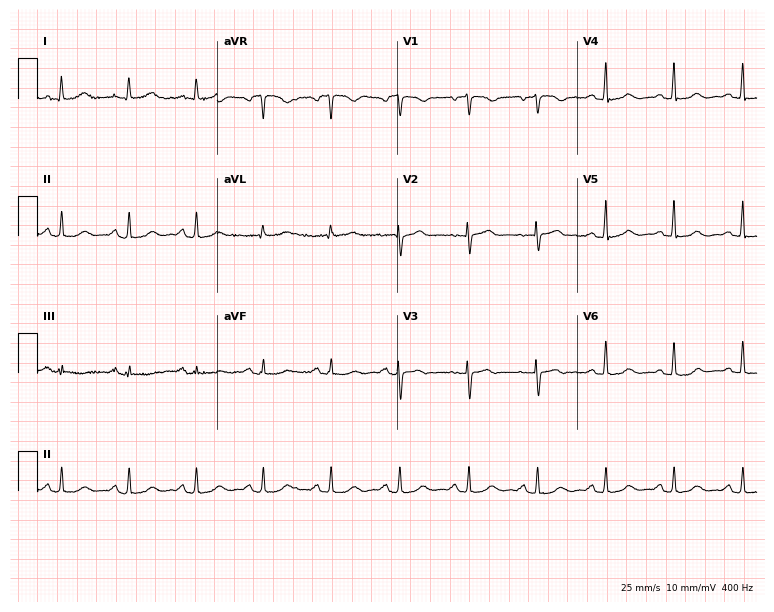
Electrocardiogram, a 66-year-old female. Overall reading on record: normal ECG.